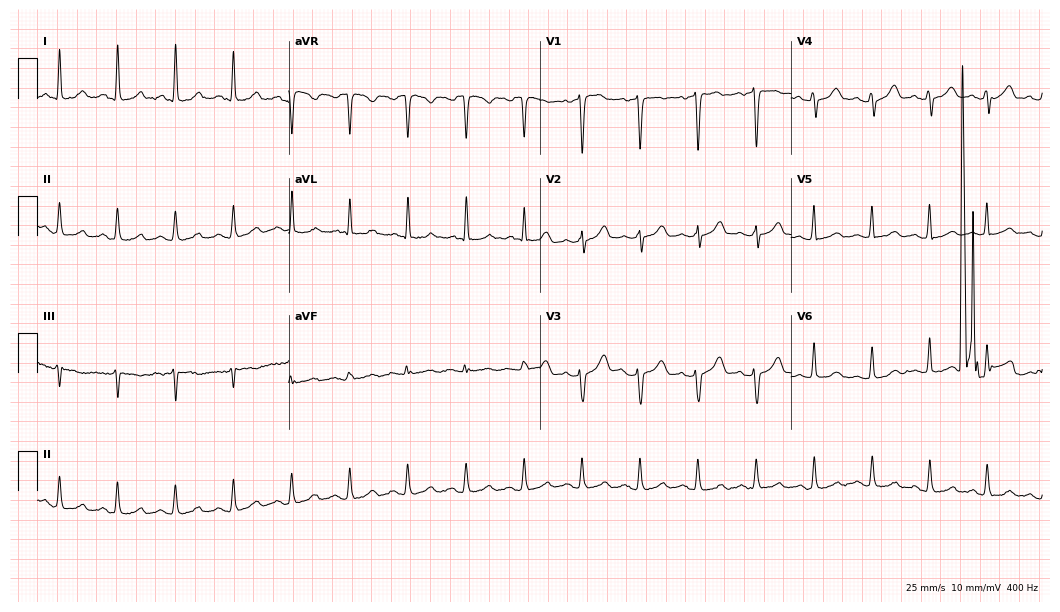
12-lead ECG from a 45-year-old woman (10.2-second recording at 400 Hz). No first-degree AV block, right bundle branch block, left bundle branch block, sinus bradycardia, atrial fibrillation or sinus tachycardia recorded for this tracing.